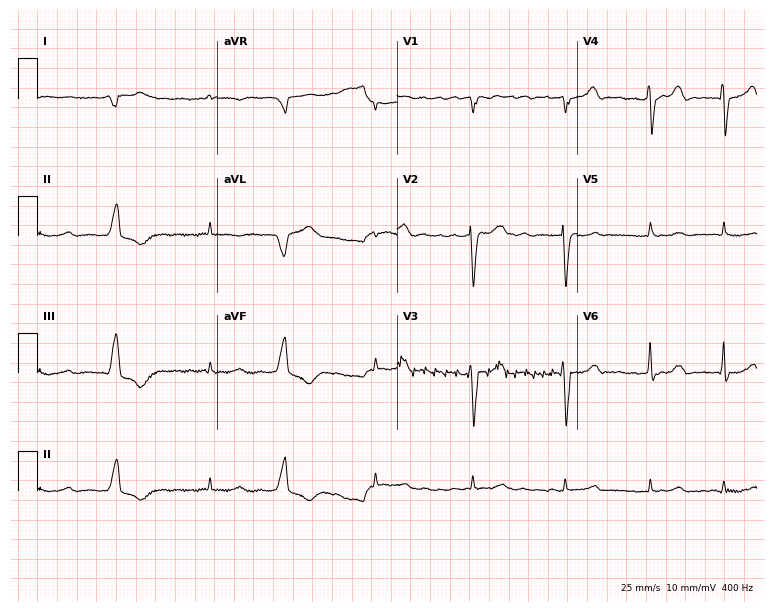
Electrocardiogram (7.3-second recording at 400 Hz), a 74-year-old male. Of the six screened findings (first-degree AV block, right bundle branch block, left bundle branch block, sinus bradycardia, atrial fibrillation, sinus tachycardia), none is recorded. Other findings, if any, are not listed.